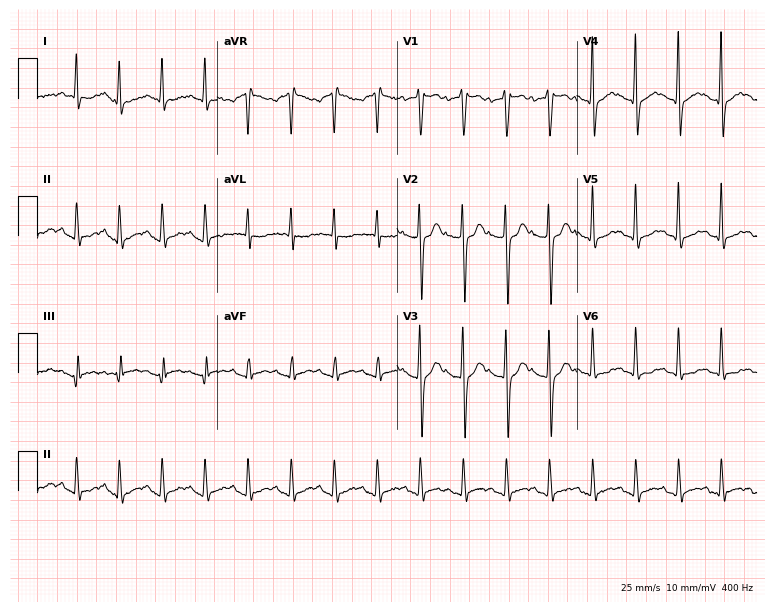
Electrocardiogram (7.3-second recording at 400 Hz), a male, 26 years old. Interpretation includes sinus tachycardia (a sinus rate of 100 beats per minute or more).